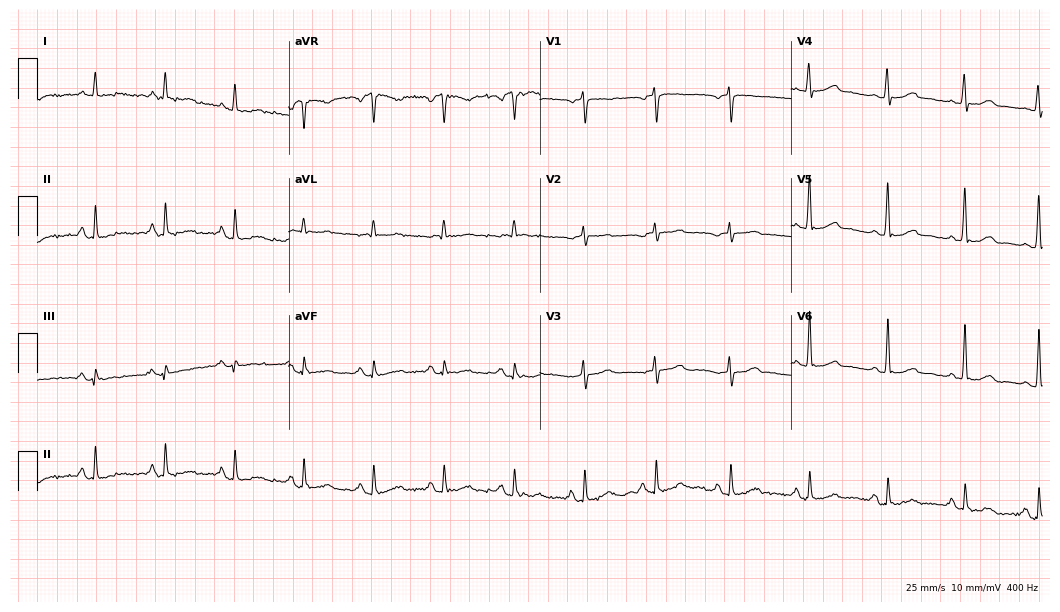
12-lead ECG from a female, 58 years old (10.2-second recording at 400 Hz). Recorded interpretation: within normal limits.